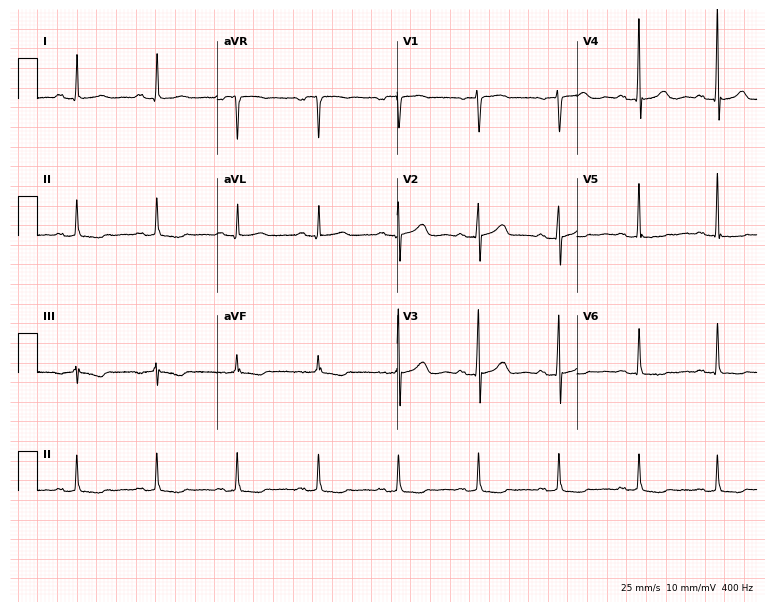
12-lead ECG from a female, 49 years old (7.3-second recording at 400 Hz). Recorded interpretation: within normal limits.